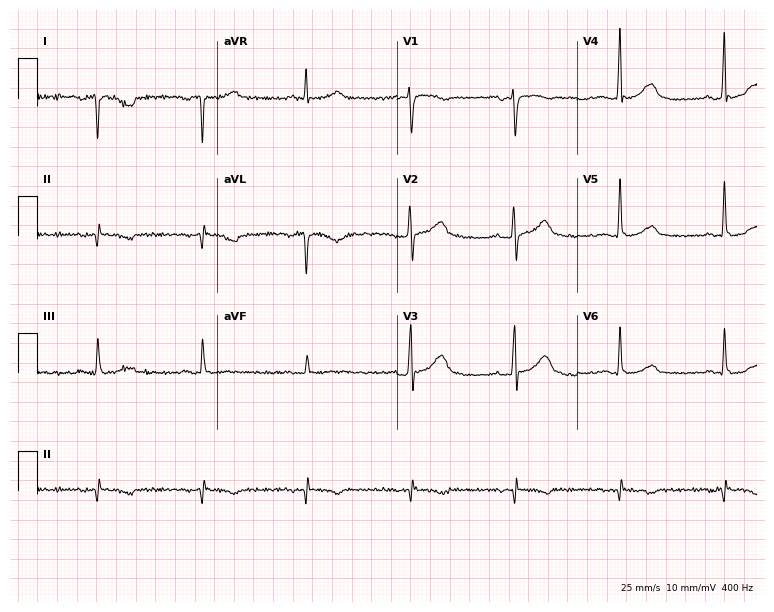
Standard 12-lead ECG recorded from a 58-year-old man. Read as a normal ECG.